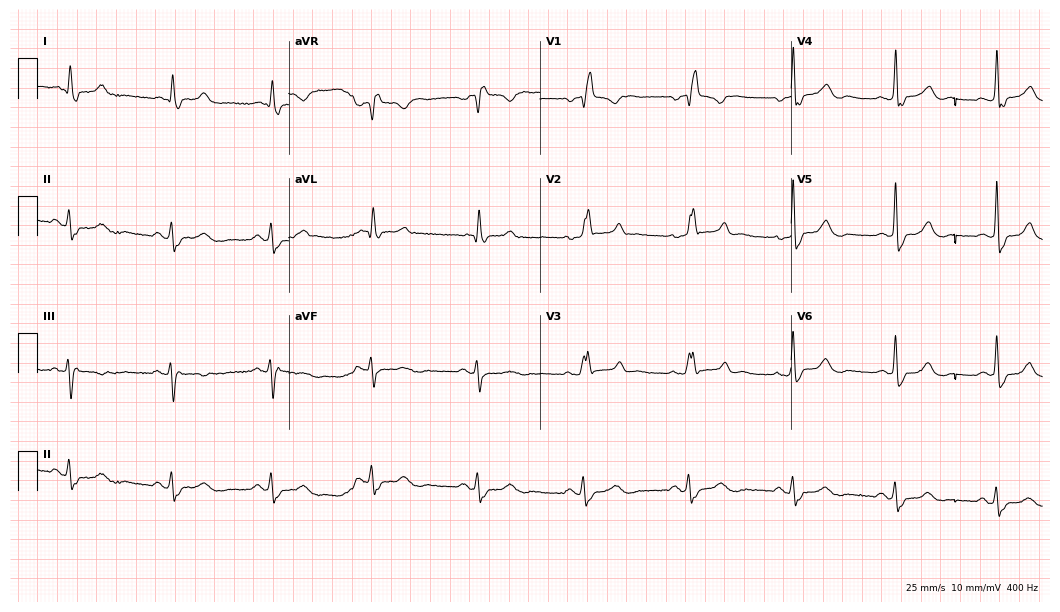
Electrocardiogram (10.2-second recording at 400 Hz), a male patient, 72 years old. Interpretation includes right bundle branch block (RBBB).